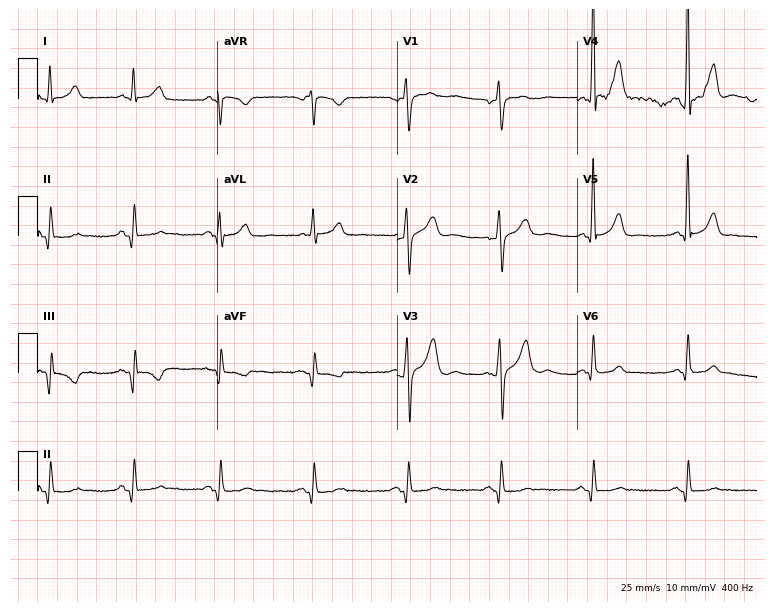
Standard 12-lead ECG recorded from a male patient, 55 years old. None of these six findings is recorded: first-degree AV block, right bundle branch block (RBBB), left bundle branch block (LBBB), sinus bradycardia, atrial fibrillation (AF), sinus tachycardia.